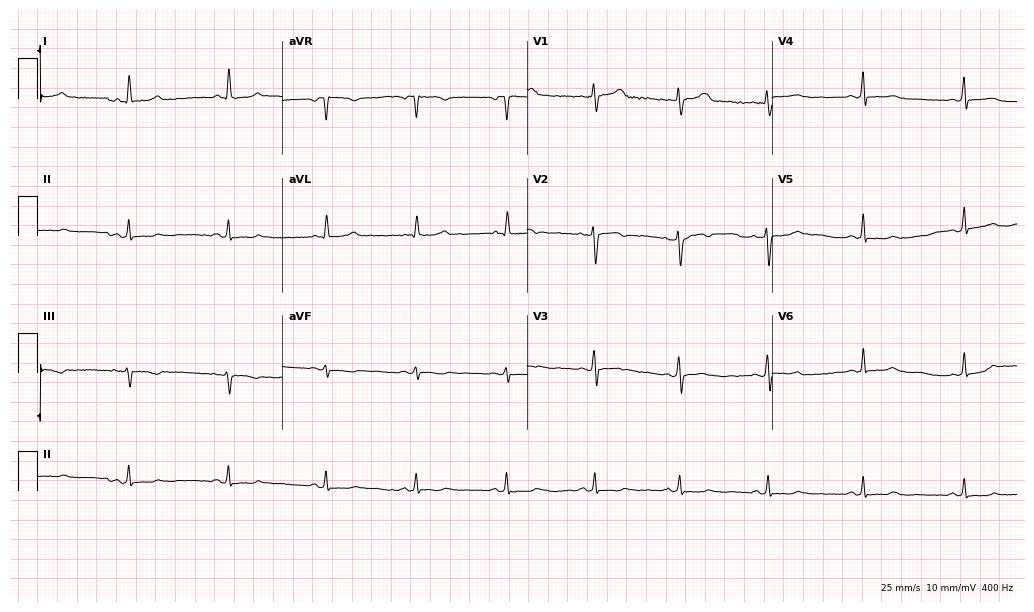
ECG — a 39-year-old woman. Screened for six findings — first-degree AV block, right bundle branch block (RBBB), left bundle branch block (LBBB), sinus bradycardia, atrial fibrillation (AF), sinus tachycardia — none is recorded.